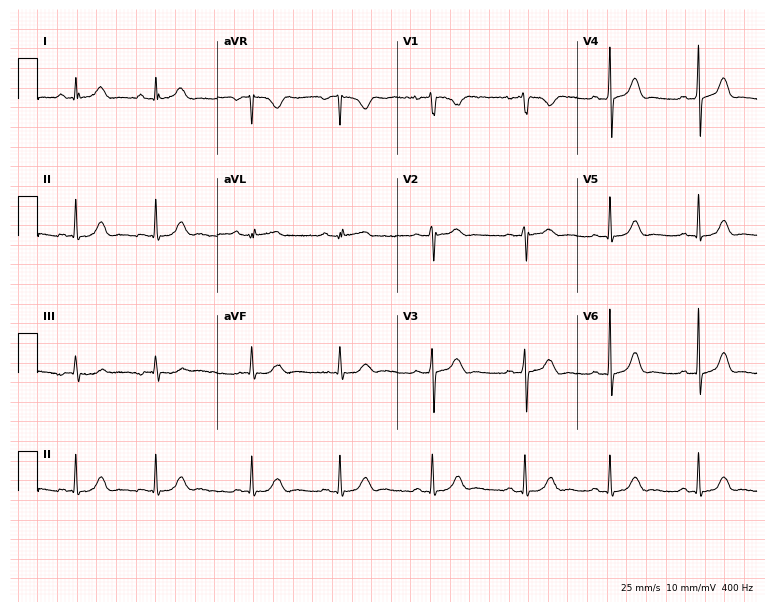
12-lead ECG (7.3-second recording at 400 Hz) from a female patient, 21 years old. Labelled as a normal ECG.